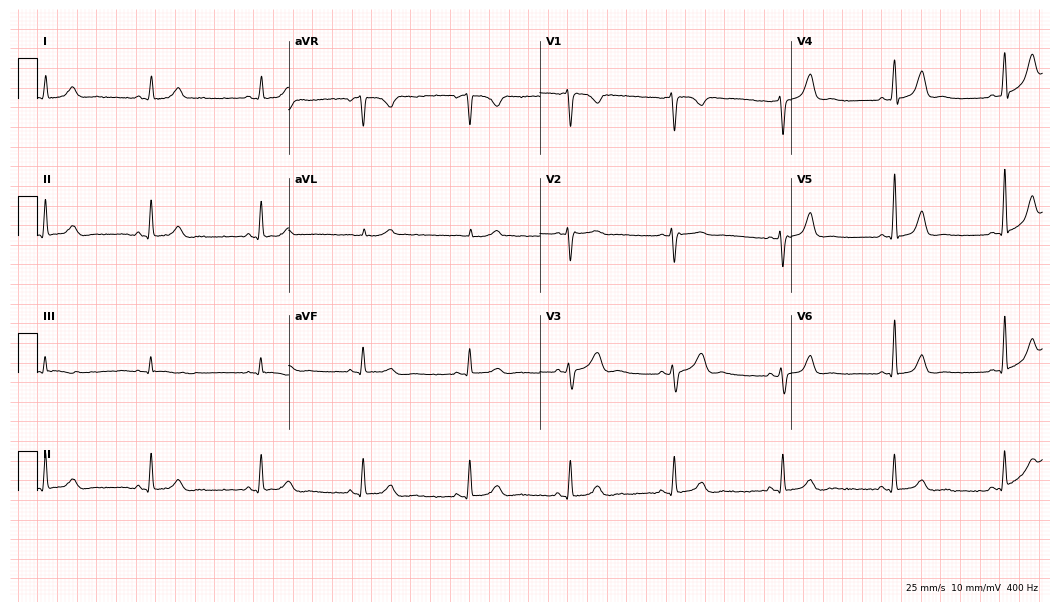
Resting 12-lead electrocardiogram (10.2-second recording at 400 Hz). Patient: a female, 42 years old. None of these six findings is recorded: first-degree AV block, right bundle branch block, left bundle branch block, sinus bradycardia, atrial fibrillation, sinus tachycardia. Only these six findings were labelled.